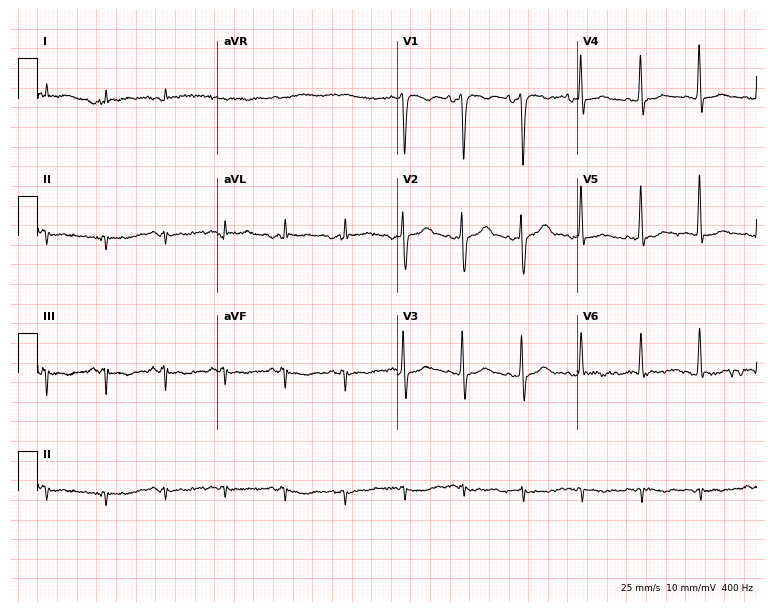
ECG — a 47-year-old female. Screened for six findings — first-degree AV block, right bundle branch block, left bundle branch block, sinus bradycardia, atrial fibrillation, sinus tachycardia — none is recorded.